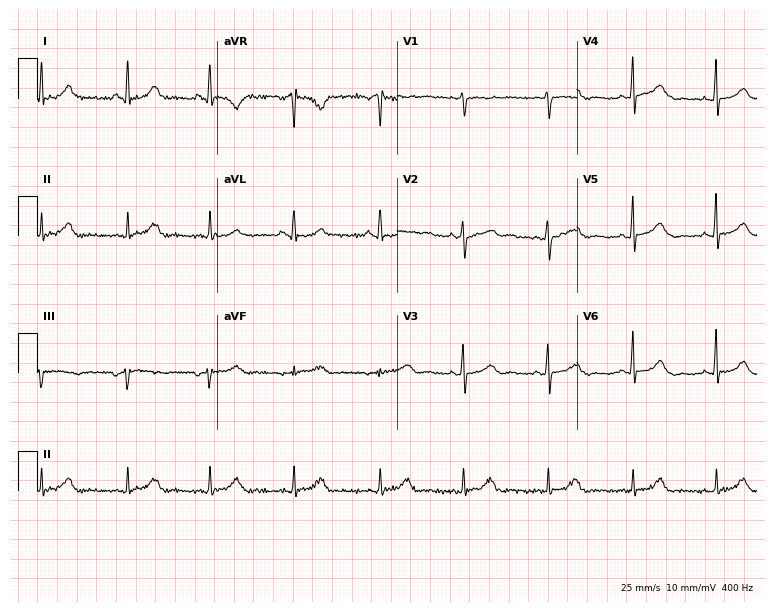
12-lead ECG from a female, 48 years old (7.3-second recording at 400 Hz). Recorded interpretation: within normal limits.